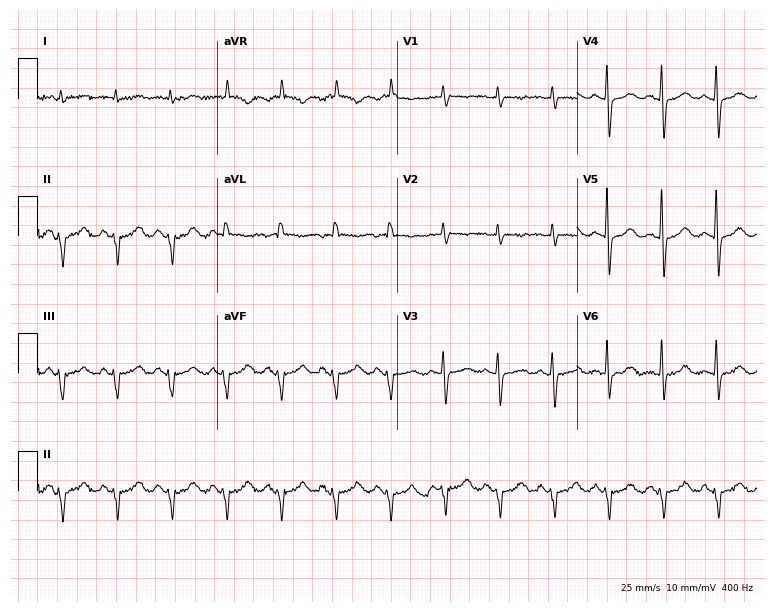
Electrocardiogram (7.3-second recording at 400 Hz), a male, 76 years old. Interpretation includes sinus tachycardia (a sinus rate of 100 beats per minute or more).